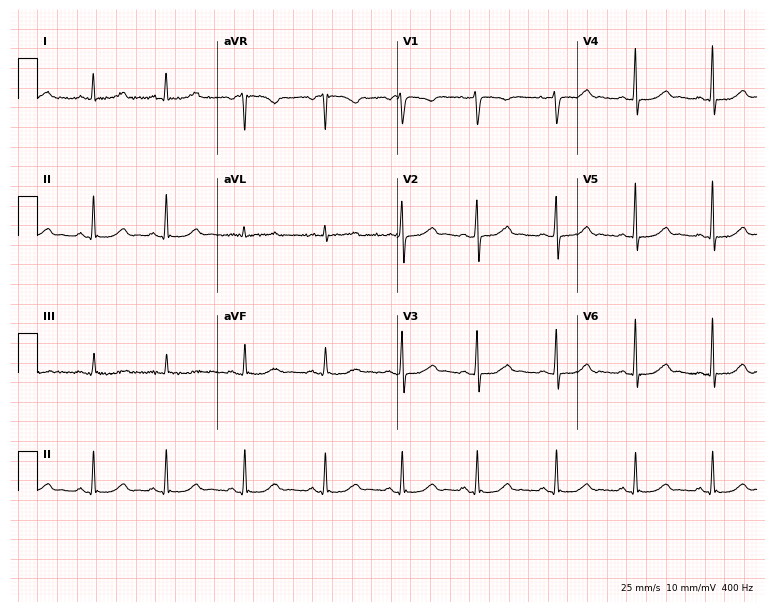
ECG (7.3-second recording at 400 Hz) — a 36-year-old female. Labelled as a normal ECG.